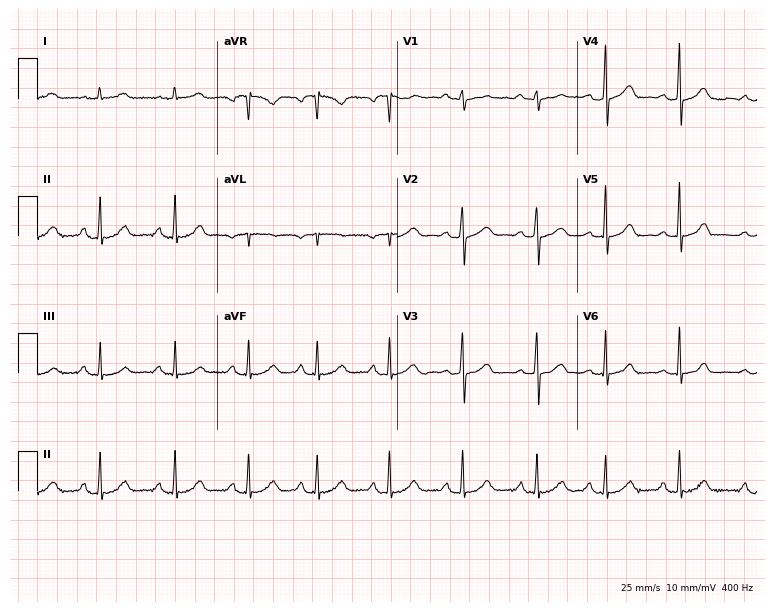
Electrocardiogram (7.3-second recording at 400 Hz), a female patient, 32 years old. Overall reading on record: normal ECG.